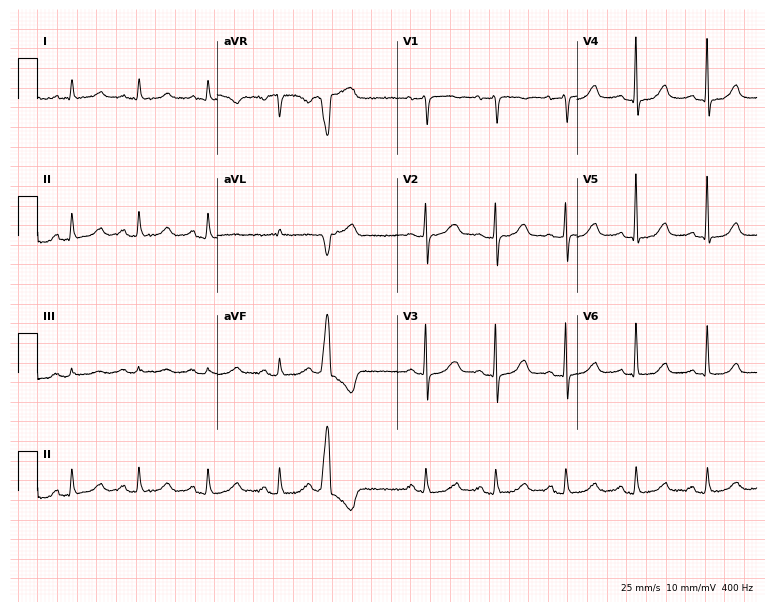
Resting 12-lead electrocardiogram (7.3-second recording at 400 Hz). Patient: a 74-year-old woman. None of these six findings is recorded: first-degree AV block, right bundle branch block, left bundle branch block, sinus bradycardia, atrial fibrillation, sinus tachycardia.